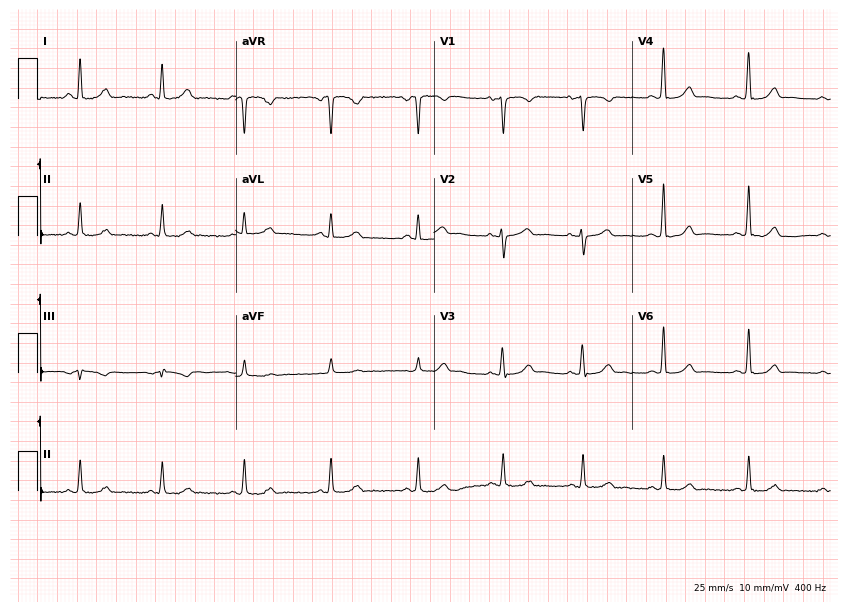
Resting 12-lead electrocardiogram. Patient: a 36-year-old female. Read as a normal ECG.